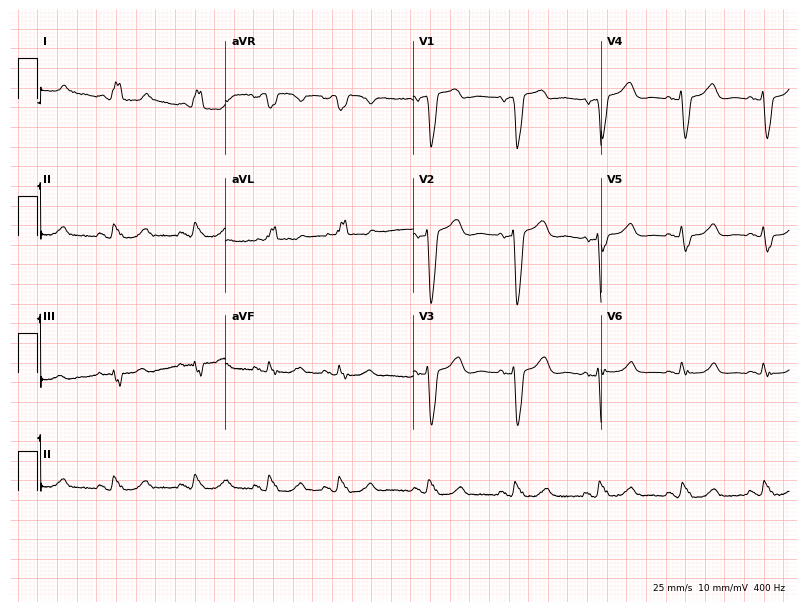
Standard 12-lead ECG recorded from an 86-year-old female patient (7.7-second recording at 400 Hz). The tracing shows left bundle branch block (LBBB).